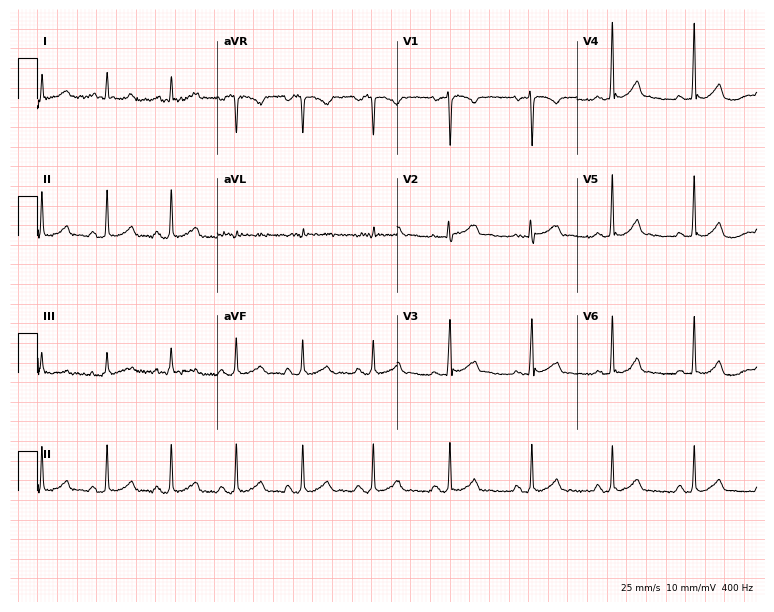
12-lead ECG from a female, 25 years old (7.3-second recording at 400 Hz). Recorded interpretation: within normal limits.